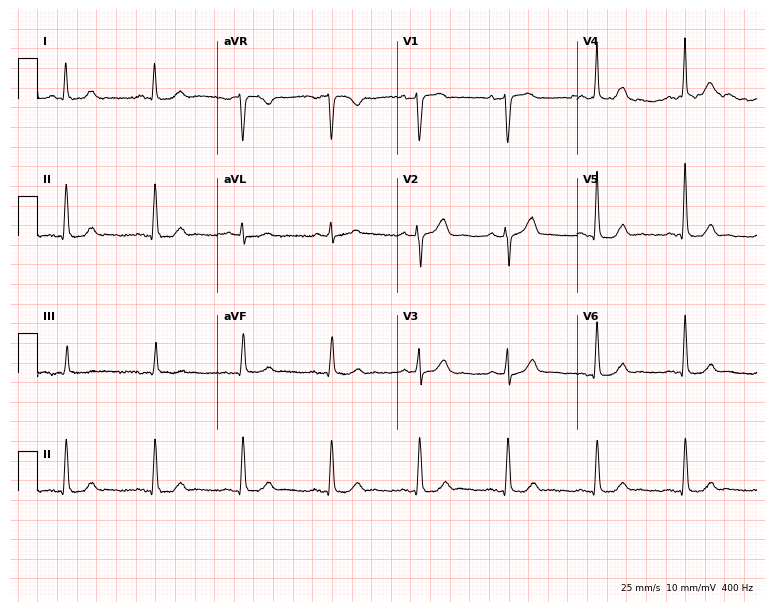
Resting 12-lead electrocardiogram (7.3-second recording at 400 Hz). Patient: a male, 80 years old. None of these six findings is recorded: first-degree AV block, right bundle branch block (RBBB), left bundle branch block (LBBB), sinus bradycardia, atrial fibrillation (AF), sinus tachycardia. Only these six findings were labelled.